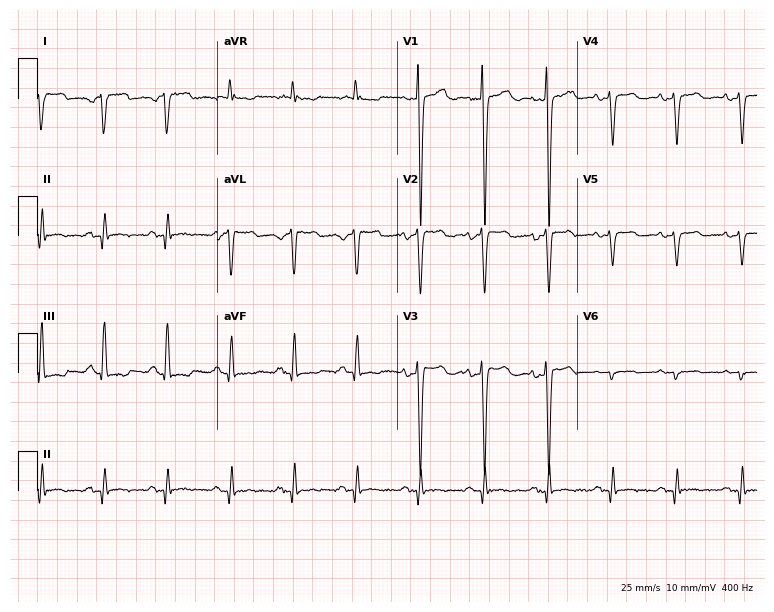
12-lead ECG from an 81-year-old woman (7.3-second recording at 400 Hz). No first-degree AV block, right bundle branch block, left bundle branch block, sinus bradycardia, atrial fibrillation or sinus tachycardia recorded for this tracing.